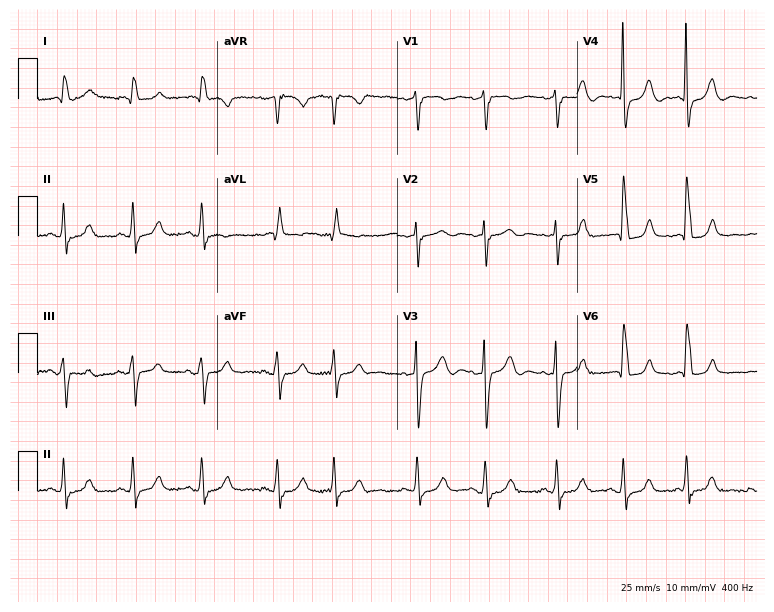
12-lead ECG from an 82-year-old female patient. No first-degree AV block, right bundle branch block, left bundle branch block, sinus bradycardia, atrial fibrillation or sinus tachycardia recorded for this tracing. Other findings, if any, are not listed.